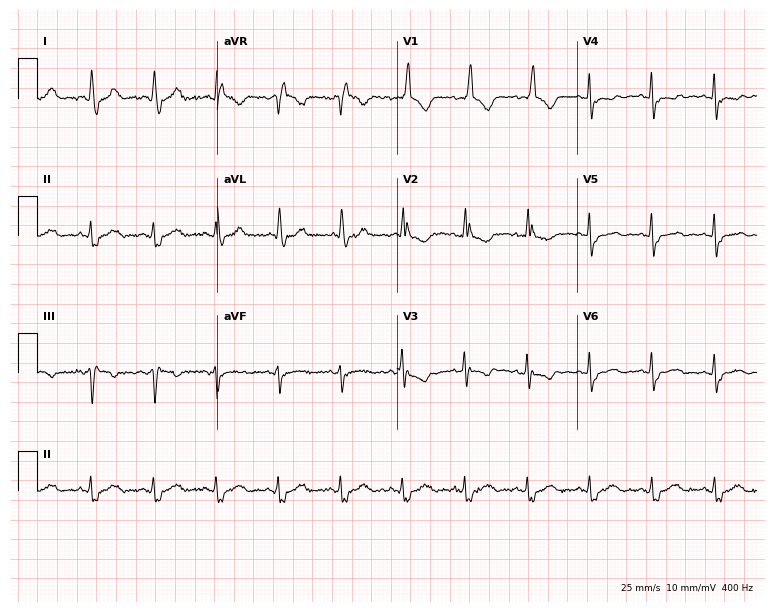
ECG — a 78-year-old woman. Screened for six findings — first-degree AV block, right bundle branch block, left bundle branch block, sinus bradycardia, atrial fibrillation, sinus tachycardia — none is recorded. Findings outside these six are not listed.